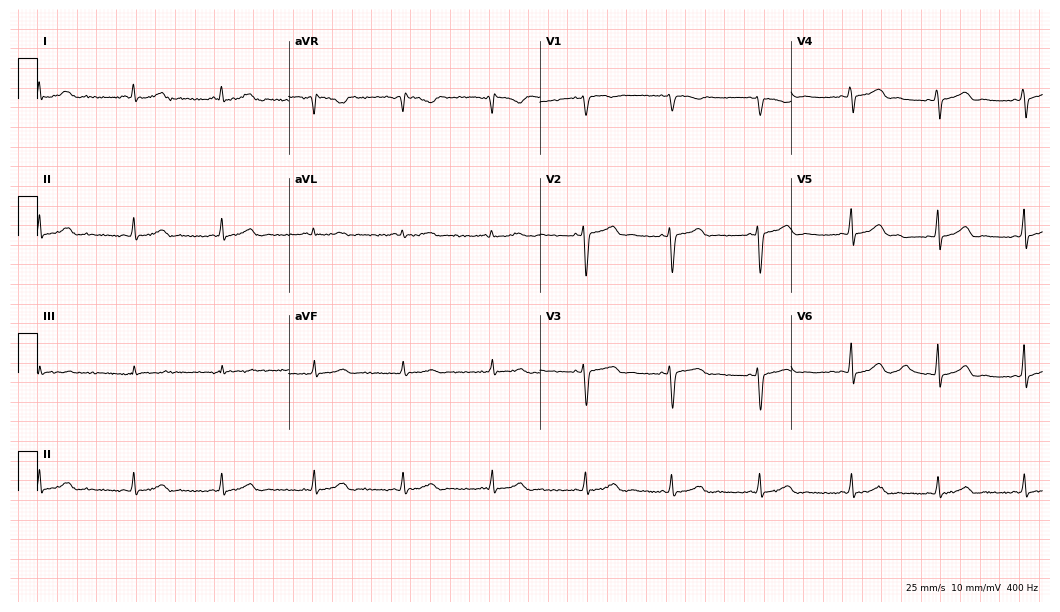
Resting 12-lead electrocardiogram (10.2-second recording at 400 Hz). Patient: a 32-year-old woman. Read as a normal ECG.